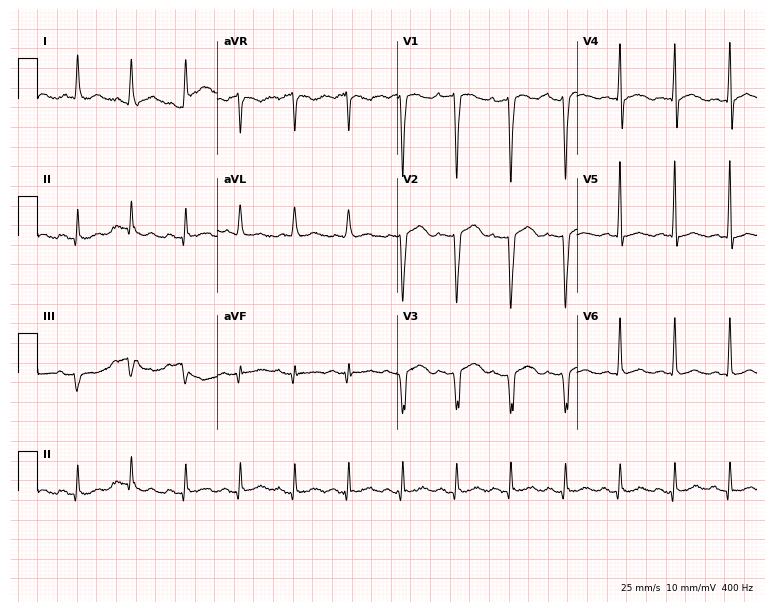
12-lead ECG (7.3-second recording at 400 Hz) from a male patient, 55 years old. Screened for six findings — first-degree AV block, right bundle branch block (RBBB), left bundle branch block (LBBB), sinus bradycardia, atrial fibrillation (AF), sinus tachycardia — none is recorded.